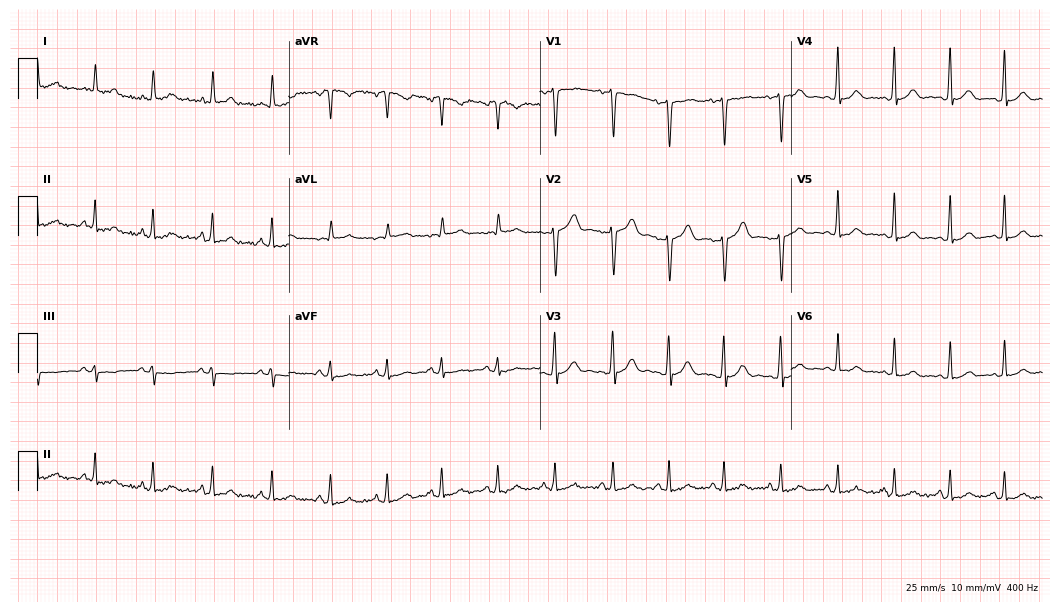
Resting 12-lead electrocardiogram. Patient: a 26-year-old female. Read as a normal ECG.